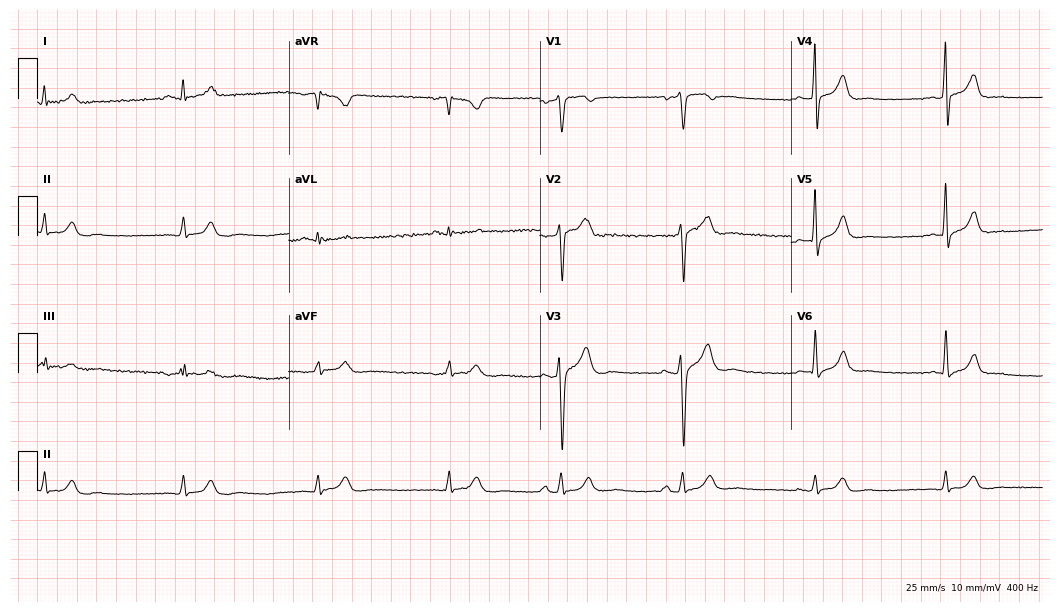
Standard 12-lead ECG recorded from a 45-year-old male. The tracing shows sinus bradycardia (a sinus rate of 50 beats per minute or less).